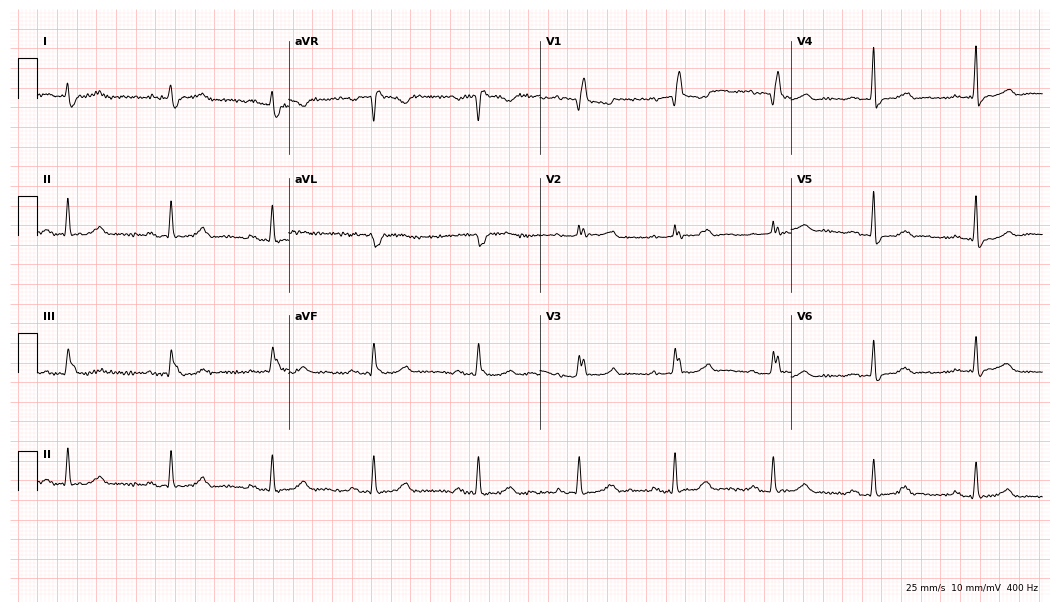
Standard 12-lead ECG recorded from a 79-year-old woman (10.2-second recording at 400 Hz). The tracing shows right bundle branch block.